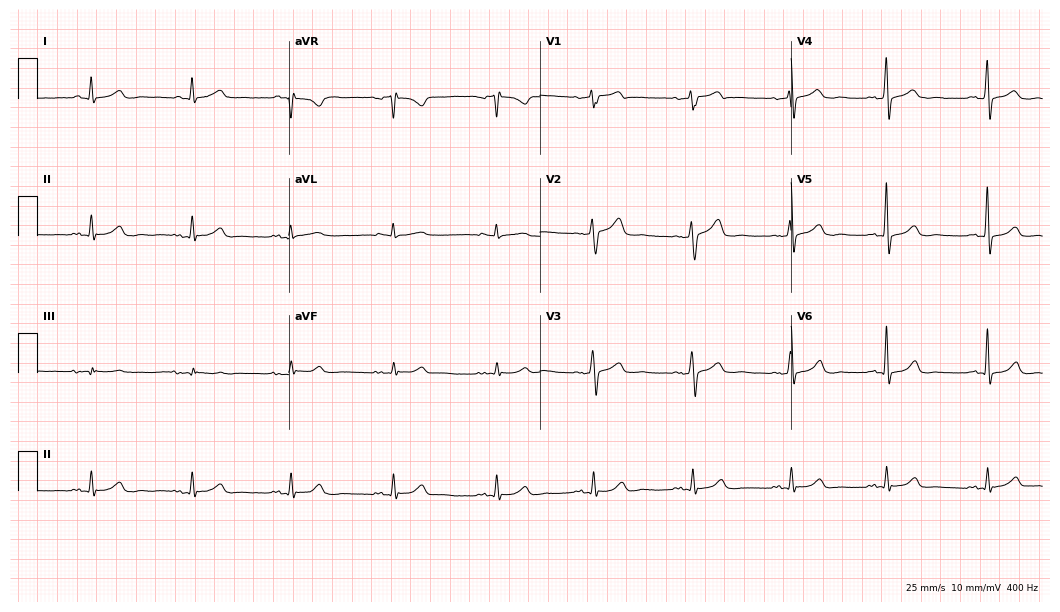
Electrocardiogram, a male, 53 years old. Overall reading on record: normal ECG.